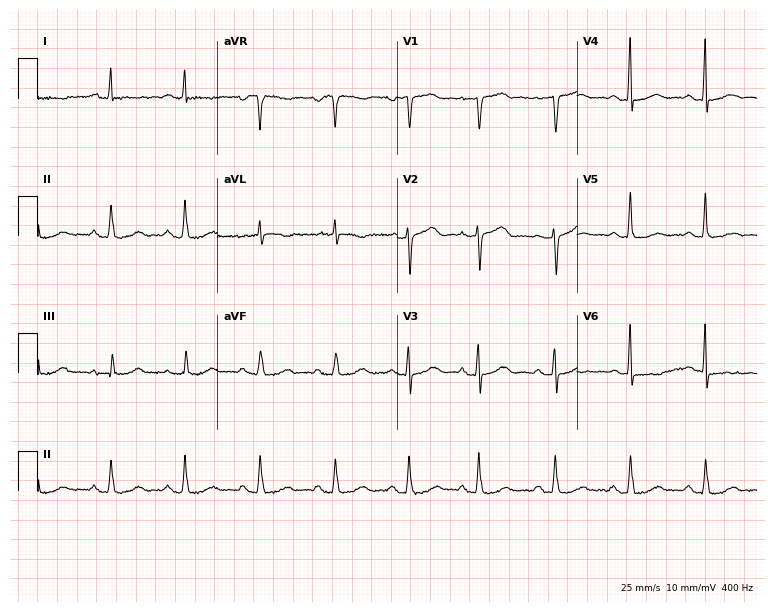
12-lead ECG from a female patient, 54 years old. Recorded interpretation: within normal limits.